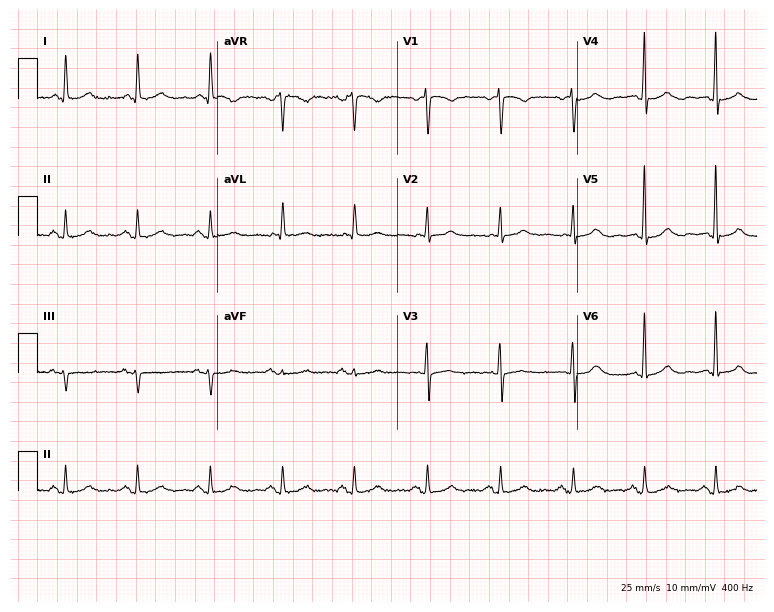
ECG — a female, 59 years old. Labelled as a normal ECG.